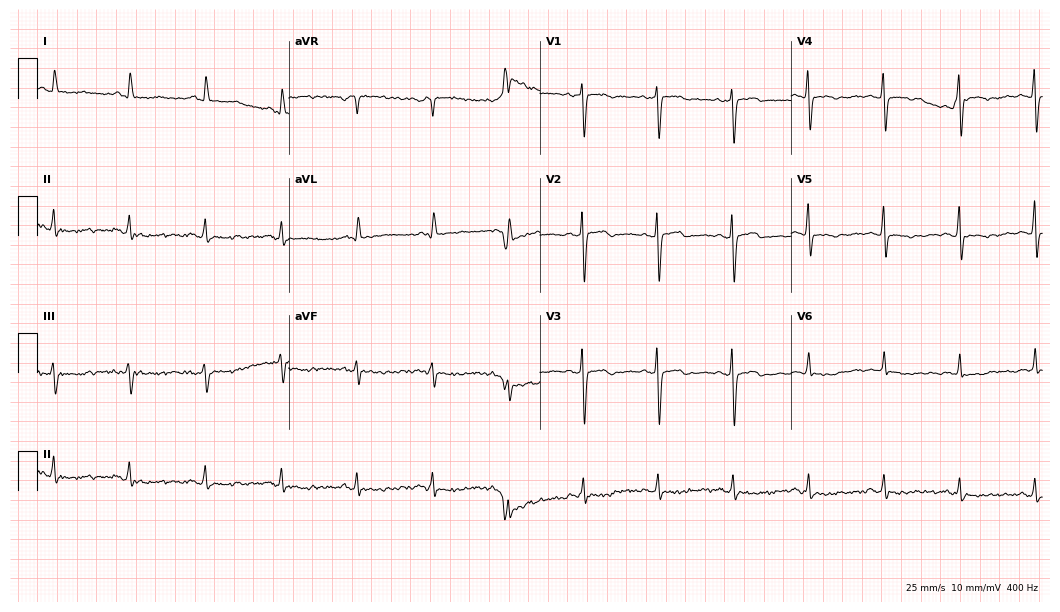
Electrocardiogram, a 58-year-old woman. Of the six screened findings (first-degree AV block, right bundle branch block, left bundle branch block, sinus bradycardia, atrial fibrillation, sinus tachycardia), none is recorded. Findings outside these six are not listed.